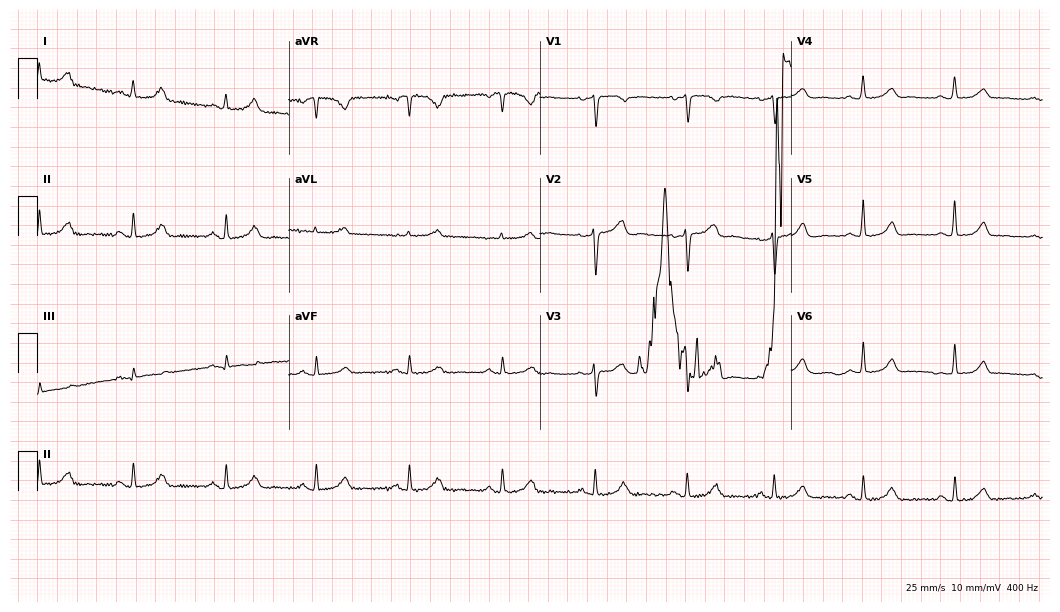
Electrocardiogram, a 43-year-old female. Of the six screened findings (first-degree AV block, right bundle branch block, left bundle branch block, sinus bradycardia, atrial fibrillation, sinus tachycardia), none is recorded. Only these six findings were labelled.